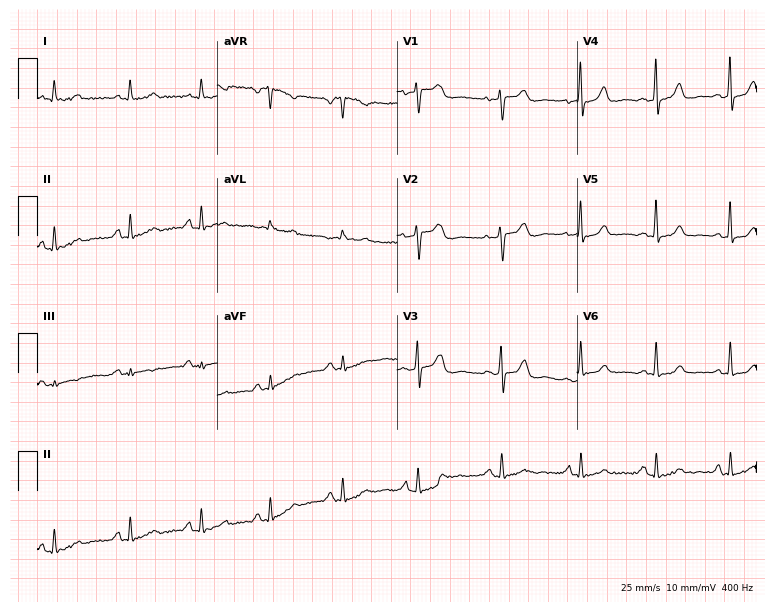
ECG (7.3-second recording at 400 Hz) — a 40-year-old female. Screened for six findings — first-degree AV block, right bundle branch block (RBBB), left bundle branch block (LBBB), sinus bradycardia, atrial fibrillation (AF), sinus tachycardia — none is recorded. Findings outside these six are not listed.